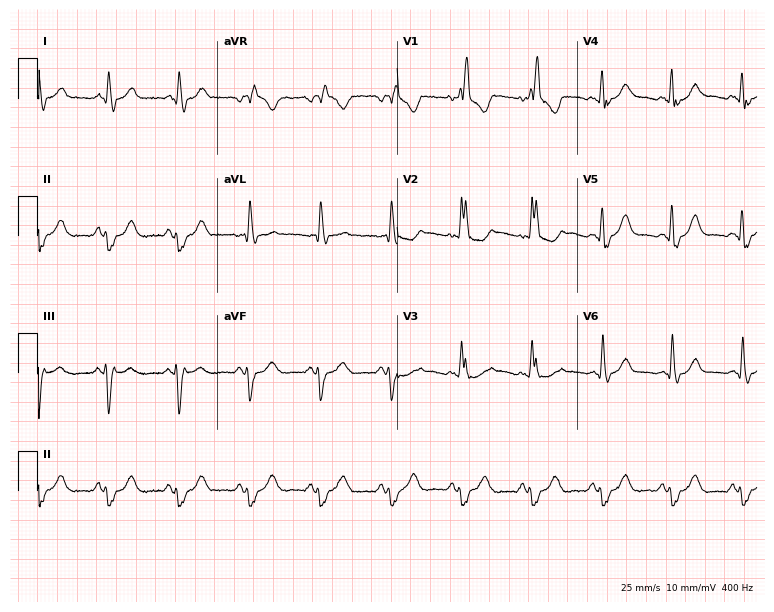
Electrocardiogram (7.3-second recording at 400 Hz), a 66-year-old male. Interpretation includes right bundle branch block (RBBB).